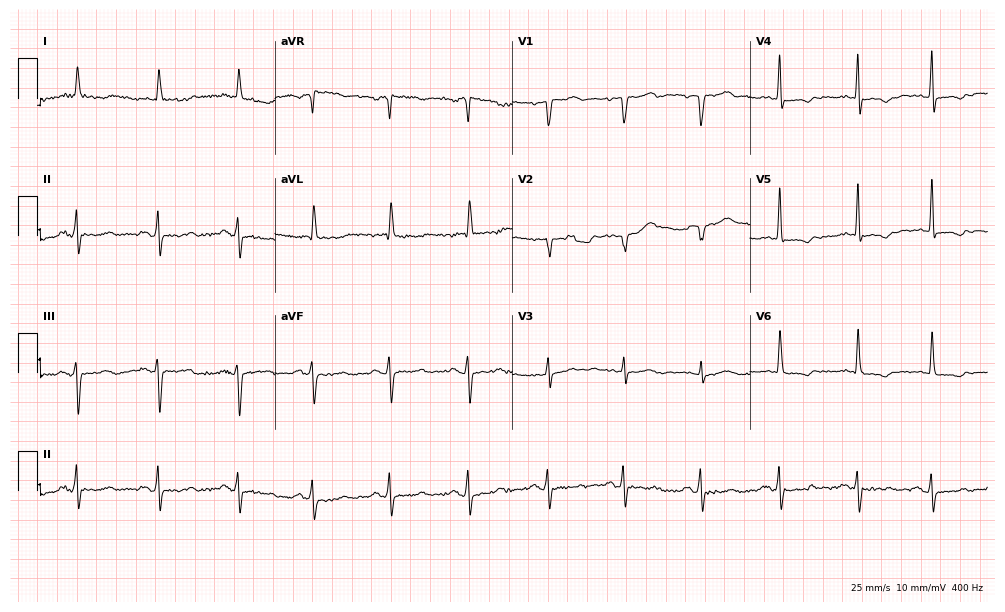
Resting 12-lead electrocardiogram (9.7-second recording at 400 Hz). Patient: an 83-year-old female. None of these six findings is recorded: first-degree AV block, right bundle branch block, left bundle branch block, sinus bradycardia, atrial fibrillation, sinus tachycardia. Only these six findings were labelled.